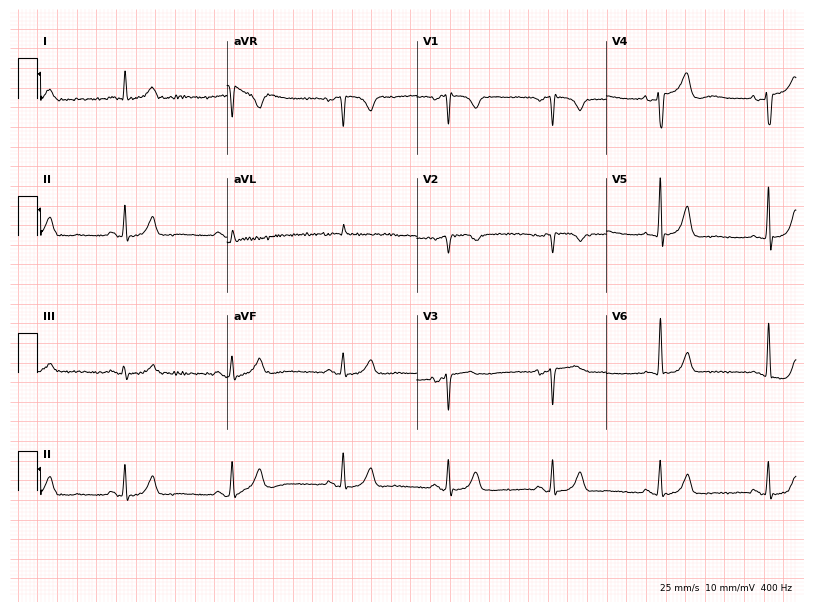
Standard 12-lead ECG recorded from a male, 86 years old. None of these six findings is recorded: first-degree AV block, right bundle branch block (RBBB), left bundle branch block (LBBB), sinus bradycardia, atrial fibrillation (AF), sinus tachycardia.